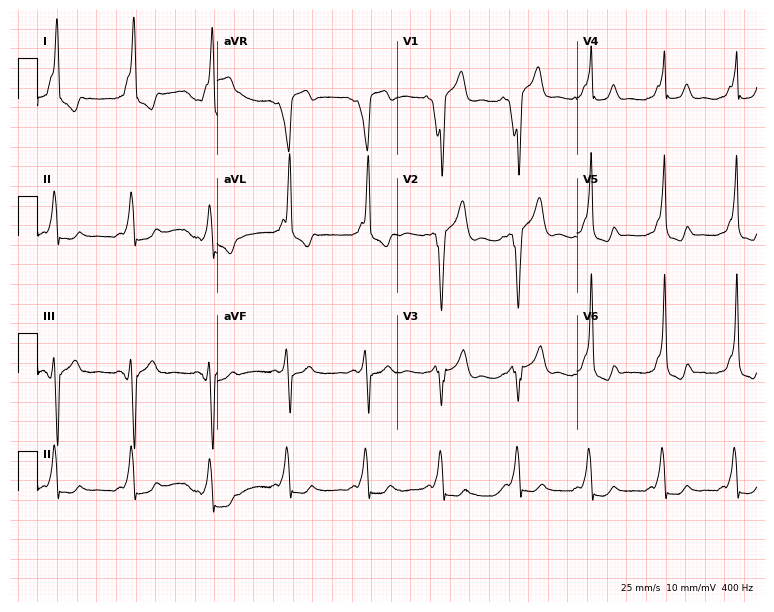
12-lead ECG from a male patient, 20 years old. No first-degree AV block, right bundle branch block, left bundle branch block, sinus bradycardia, atrial fibrillation or sinus tachycardia recorded for this tracing.